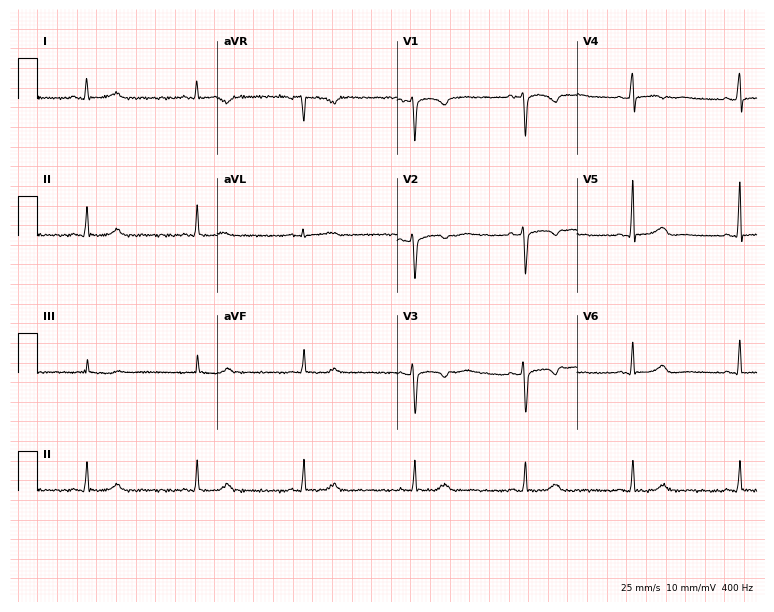
ECG (7.3-second recording at 400 Hz) — a 41-year-old female patient. Screened for six findings — first-degree AV block, right bundle branch block (RBBB), left bundle branch block (LBBB), sinus bradycardia, atrial fibrillation (AF), sinus tachycardia — none is recorded.